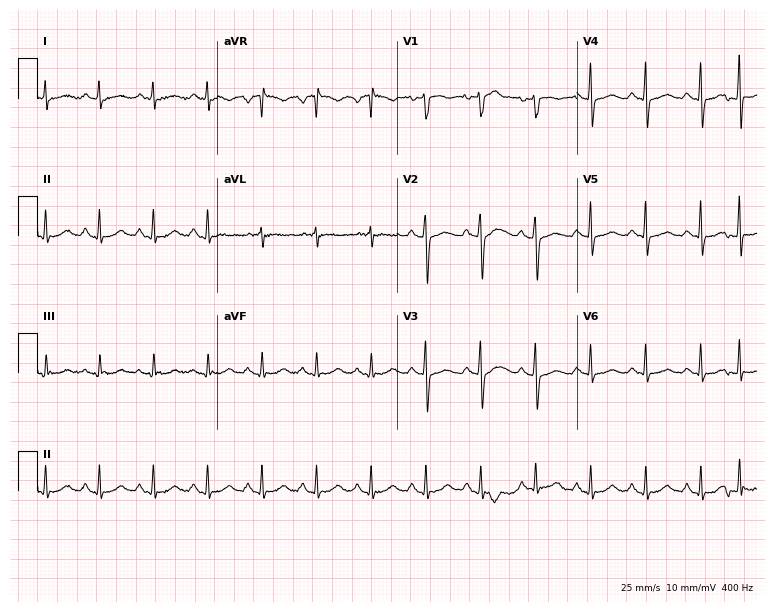
12-lead ECG from a 67-year-old female patient. Findings include sinus tachycardia (a sinus rate of 100 beats per minute or more).